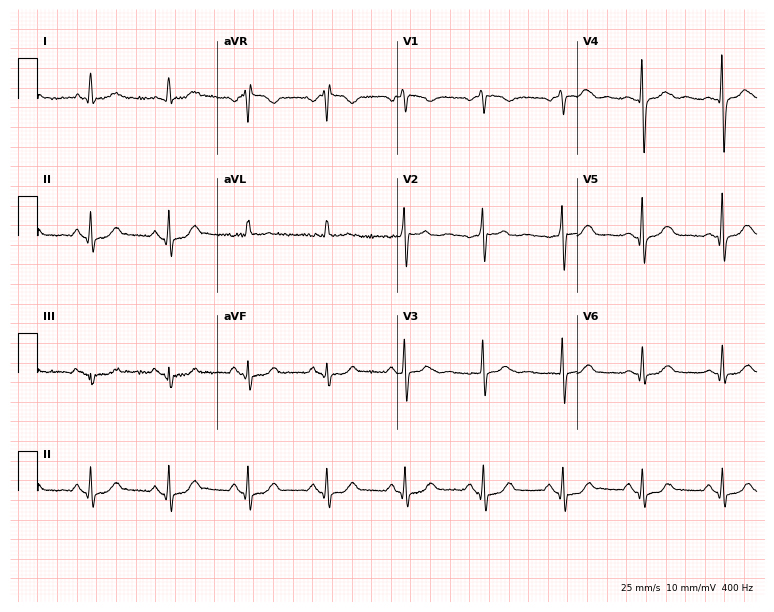
Resting 12-lead electrocardiogram. Patient: a 65-year-old female. None of these six findings is recorded: first-degree AV block, right bundle branch block, left bundle branch block, sinus bradycardia, atrial fibrillation, sinus tachycardia. Findings outside these six are not listed.